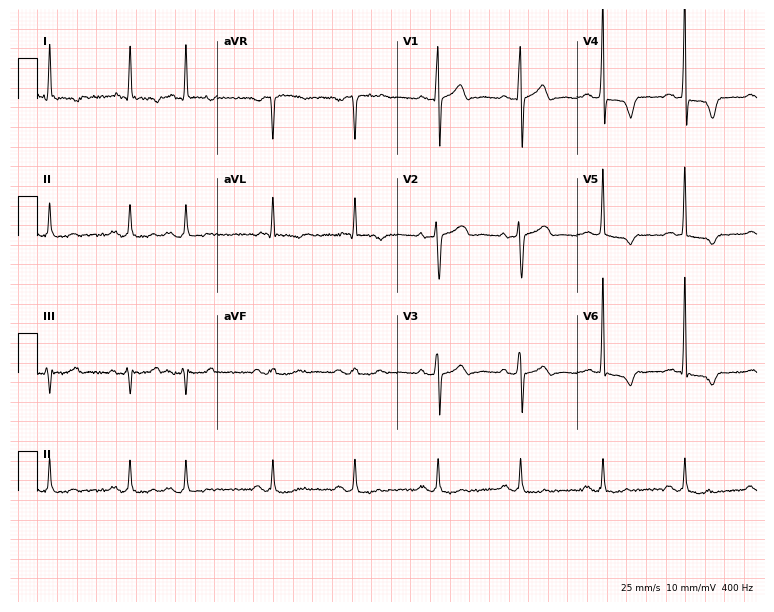
Resting 12-lead electrocardiogram (7.3-second recording at 400 Hz). Patient: a 79-year-old male. None of these six findings is recorded: first-degree AV block, right bundle branch block, left bundle branch block, sinus bradycardia, atrial fibrillation, sinus tachycardia. Only these six findings were labelled.